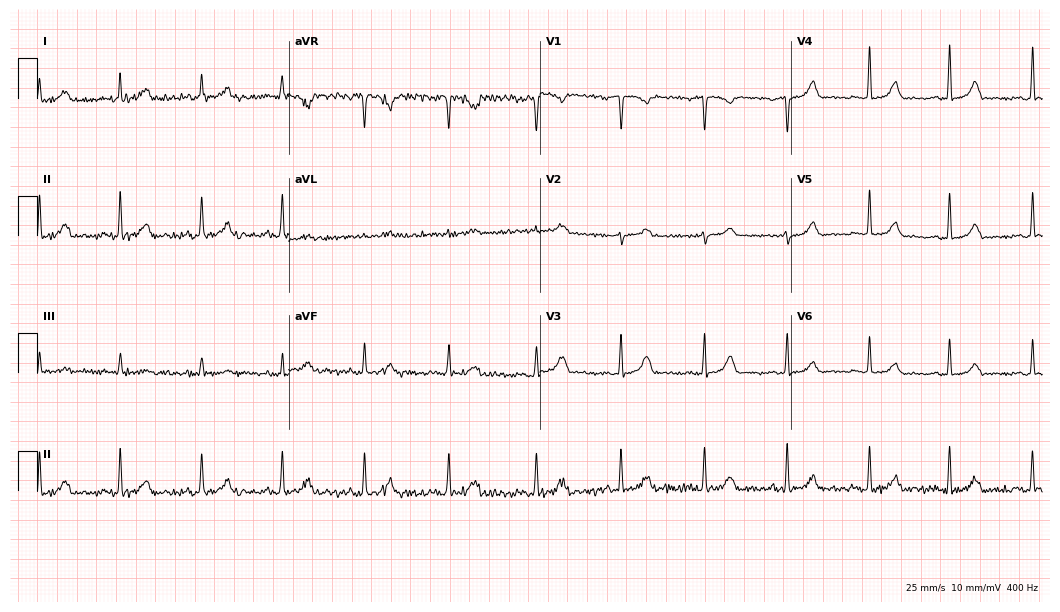
ECG (10.2-second recording at 400 Hz) — a female patient, 34 years old. Screened for six findings — first-degree AV block, right bundle branch block (RBBB), left bundle branch block (LBBB), sinus bradycardia, atrial fibrillation (AF), sinus tachycardia — none is recorded.